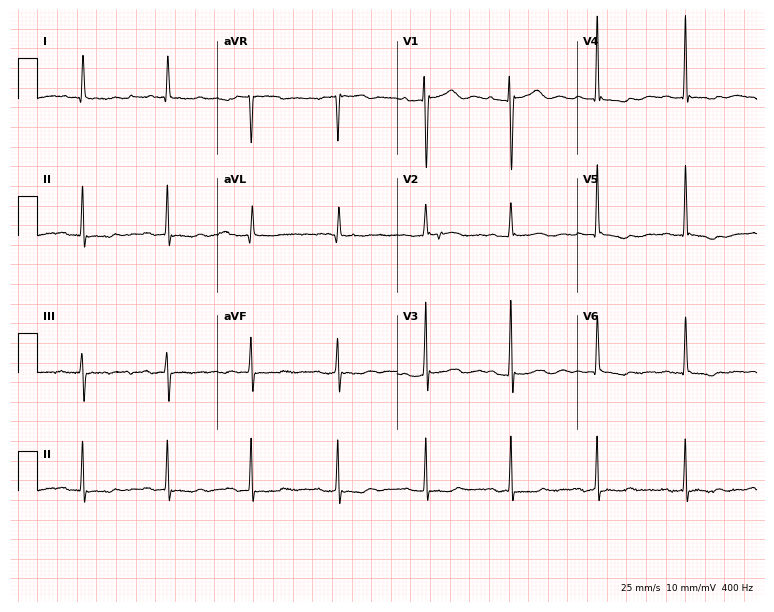
12-lead ECG from a female, 79 years old. Shows first-degree AV block.